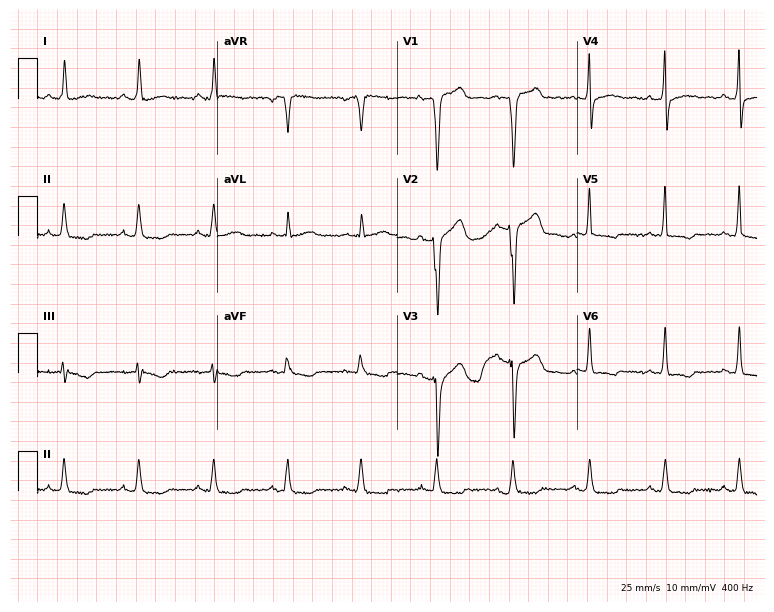
ECG — a man, 49 years old. Screened for six findings — first-degree AV block, right bundle branch block, left bundle branch block, sinus bradycardia, atrial fibrillation, sinus tachycardia — none is recorded. Other findings, if any, are not listed.